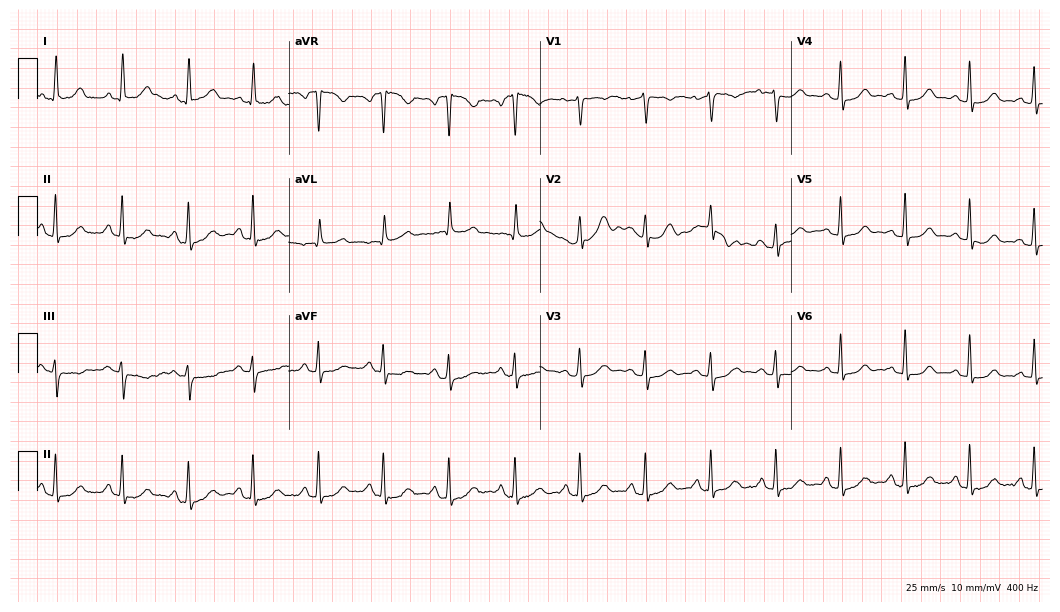
12-lead ECG from a 35-year-old female patient. Labelled as a normal ECG.